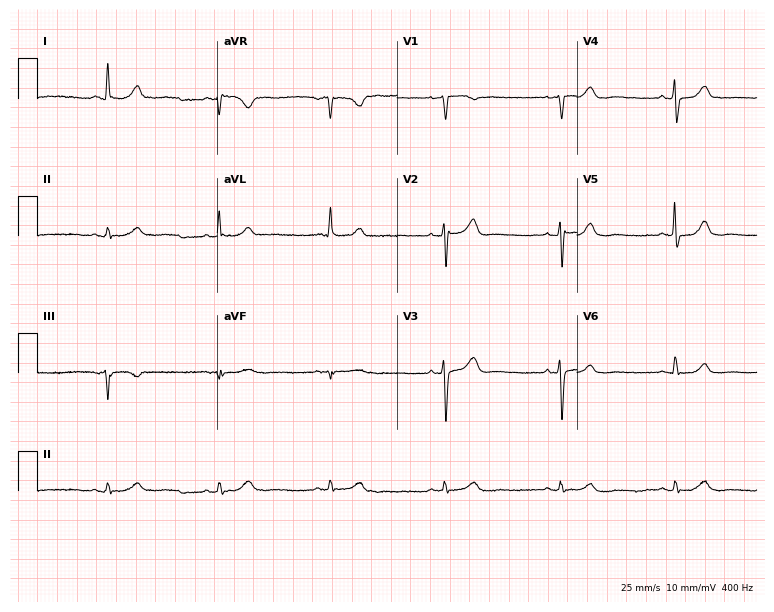
12-lead ECG from an 80-year-old male. Screened for six findings — first-degree AV block, right bundle branch block, left bundle branch block, sinus bradycardia, atrial fibrillation, sinus tachycardia — none is recorded. Other findings, if any, are not listed.